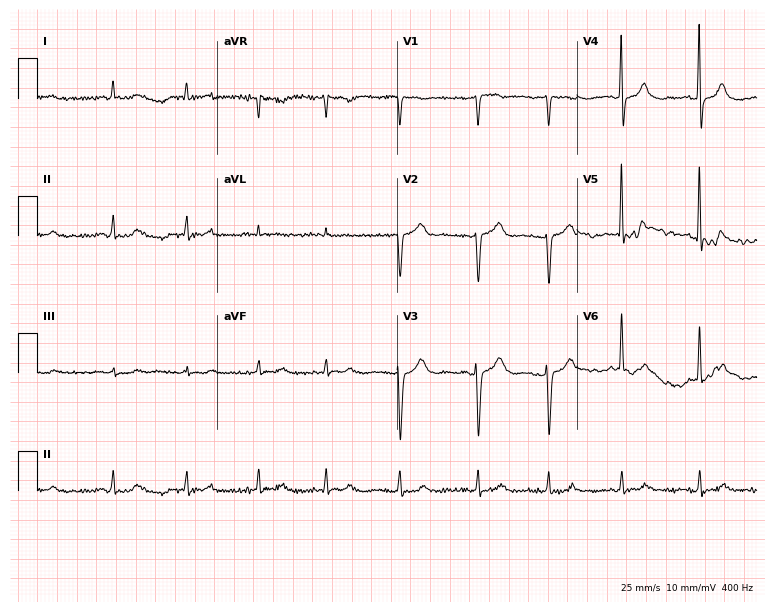
ECG — a woman, 85 years old. Screened for six findings — first-degree AV block, right bundle branch block, left bundle branch block, sinus bradycardia, atrial fibrillation, sinus tachycardia — none is recorded.